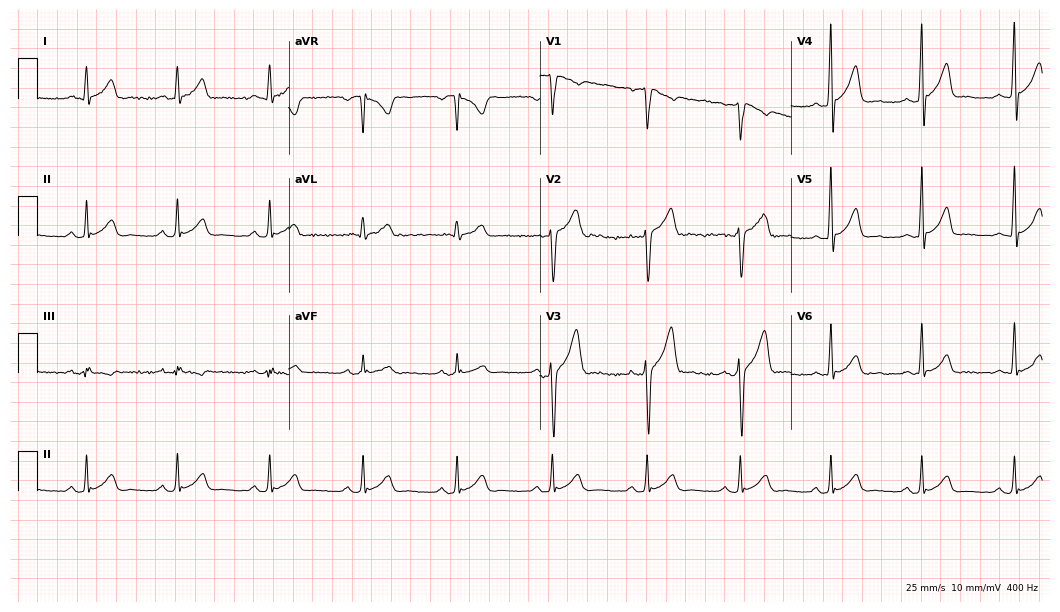
Resting 12-lead electrocardiogram (10.2-second recording at 400 Hz). Patient: a male, 26 years old. Read as a normal ECG.